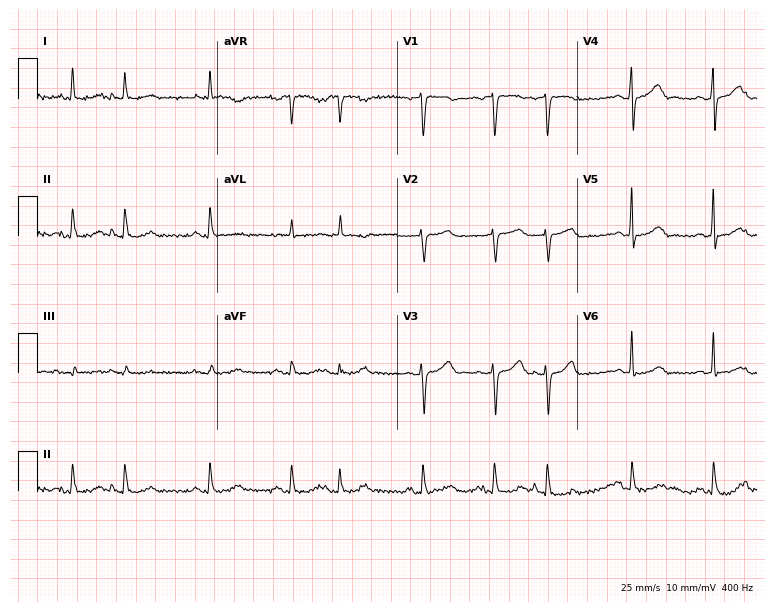
Electrocardiogram (7.3-second recording at 400 Hz), a 77-year-old woman. Of the six screened findings (first-degree AV block, right bundle branch block, left bundle branch block, sinus bradycardia, atrial fibrillation, sinus tachycardia), none is recorded.